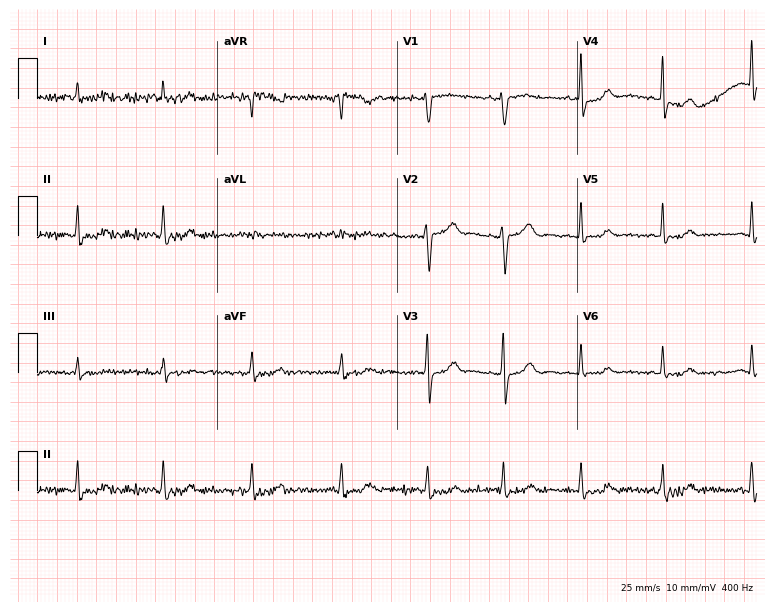
12-lead ECG from a 34-year-old female patient (7.3-second recording at 400 Hz). Recorded interpretation: within normal limits.